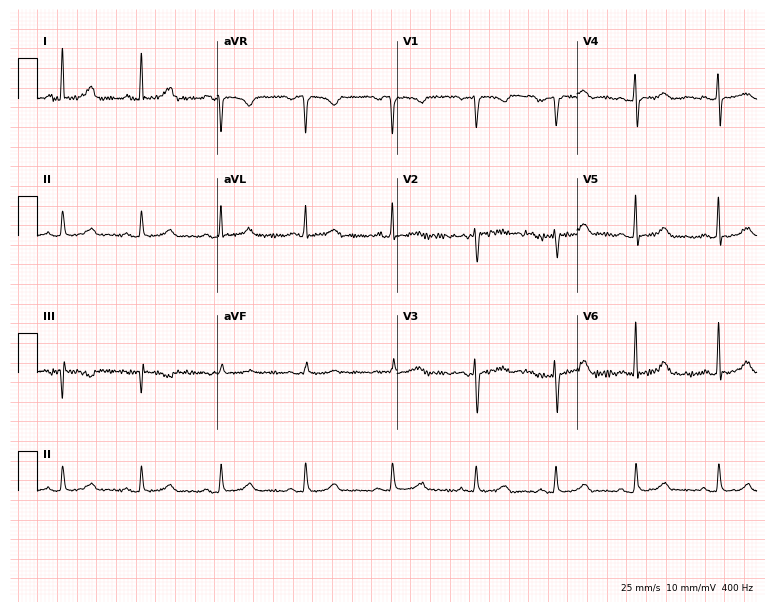
Resting 12-lead electrocardiogram. Patient: a 36-year-old female. Read as a normal ECG.